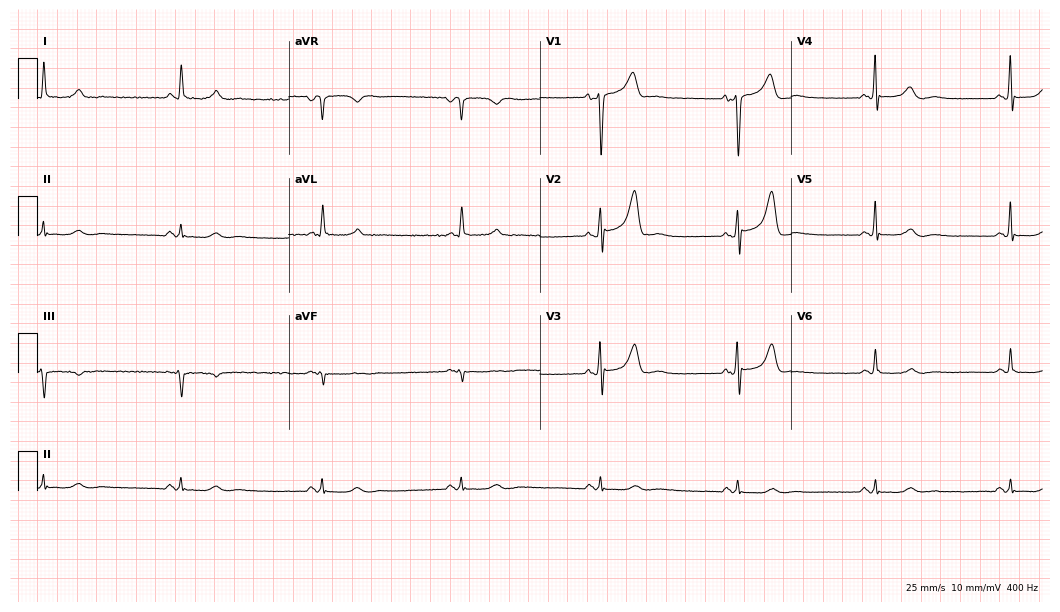
Electrocardiogram, a male, 77 years old. Interpretation includes sinus bradycardia (a sinus rate of 50 beats per minute or less).